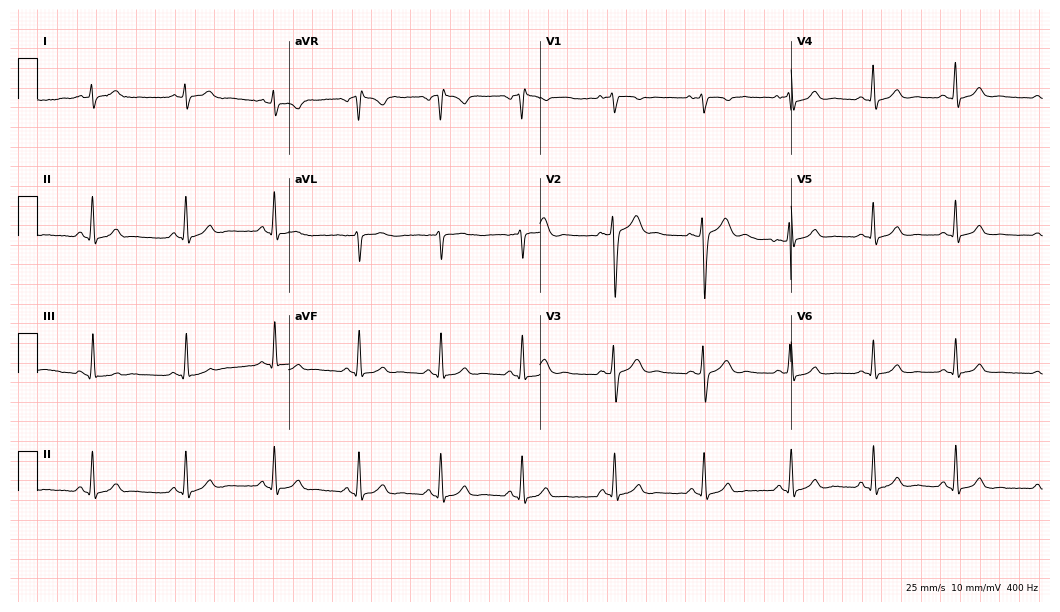
ECG — a 32-year-old woman. Labelled as a normal ECG.